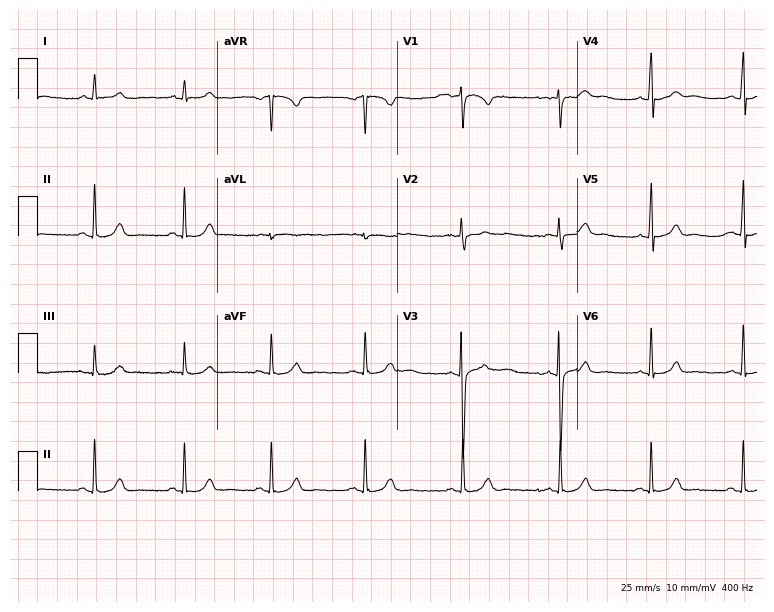
Electrocardiogram, a female patient, 18 years old. Overall reading on record: normal ECG.